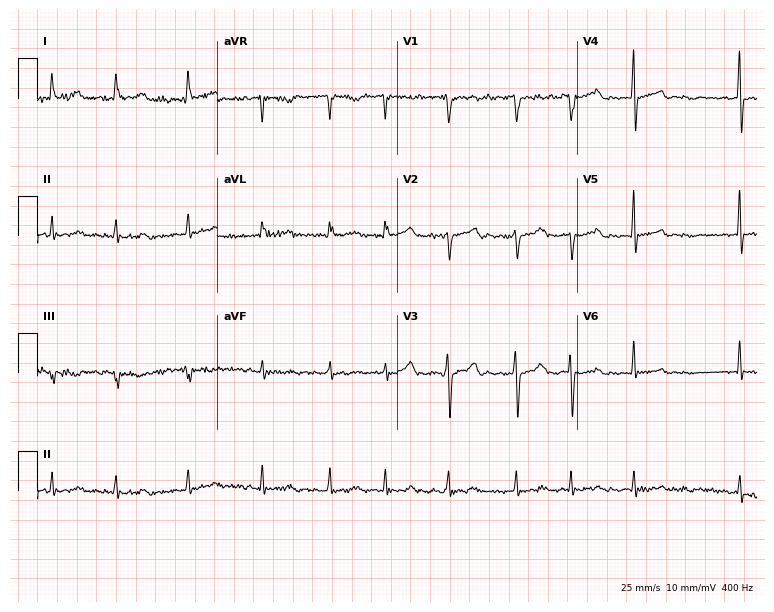
12-lead ECG from a 76-year-old female (7.3-second recording at 400 Hz). No first-degree AV block, right bundle branch block, left bundle branch block, sinus bradycardia, atrial fibrillation or sinus tachycardia recorded for this tracing.